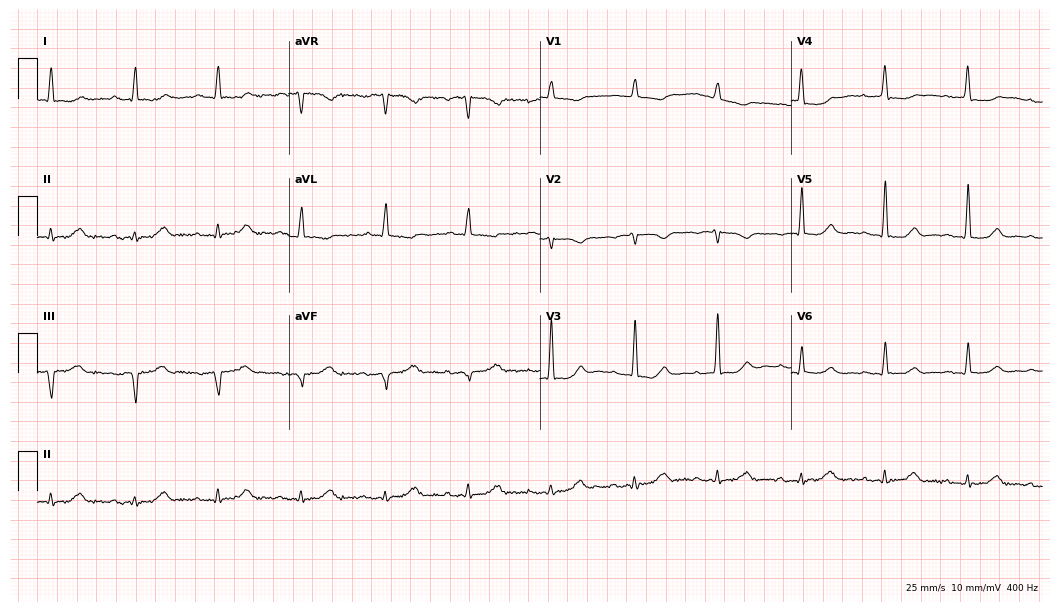
Resting 12-lead electrocardiogram. Patient: a female, 81 years old. None of these six findings is recorded: first-degree AV block, right bundle branch block, left bundle branch block, sinus bradycardia, atrial fibrillation, sinus tachycardia.